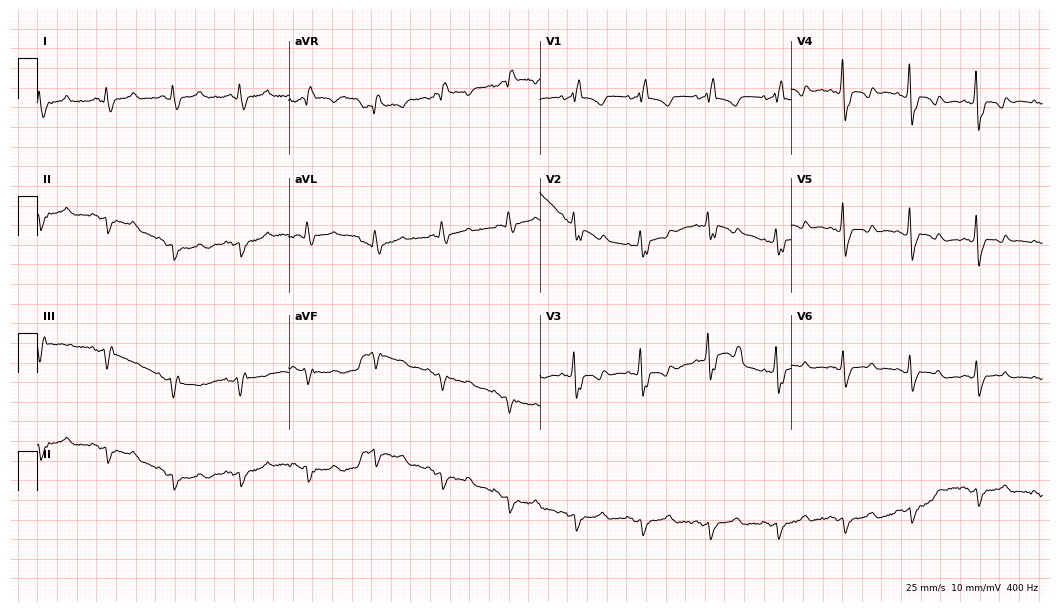
12-lead ECG (10.2-second recording at 400 Hz) from a woman, 67 years old. Findings include right bundle branch block.